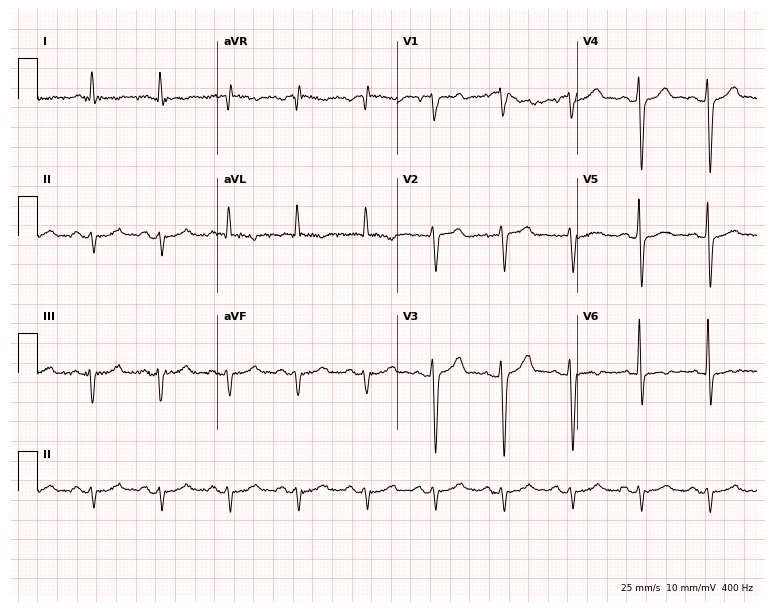
ECG — a man, 75 years old. Screened for six findings — first-degree AV block, right bundle branch block (RBBB), left bundle branch block (LBBB), sinus bradycardia, atrial fibrillation (AF), sinus tachycardia — none is recorded. Other findings, if any, are not listed.